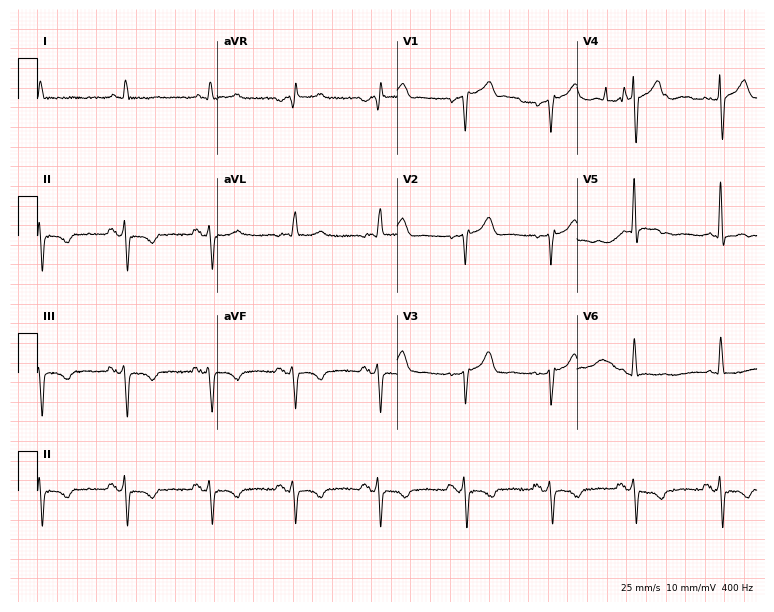
12-lead ECG from a male, 67 years old. No first-degree AV block, right bundle branch block (RBBB), left bundle branch block (LBBB), sinus bradycardia, atrial fibrillation (AF) or sinus tachycardia recorded for this tracing. Other findings, if any, are not listed.